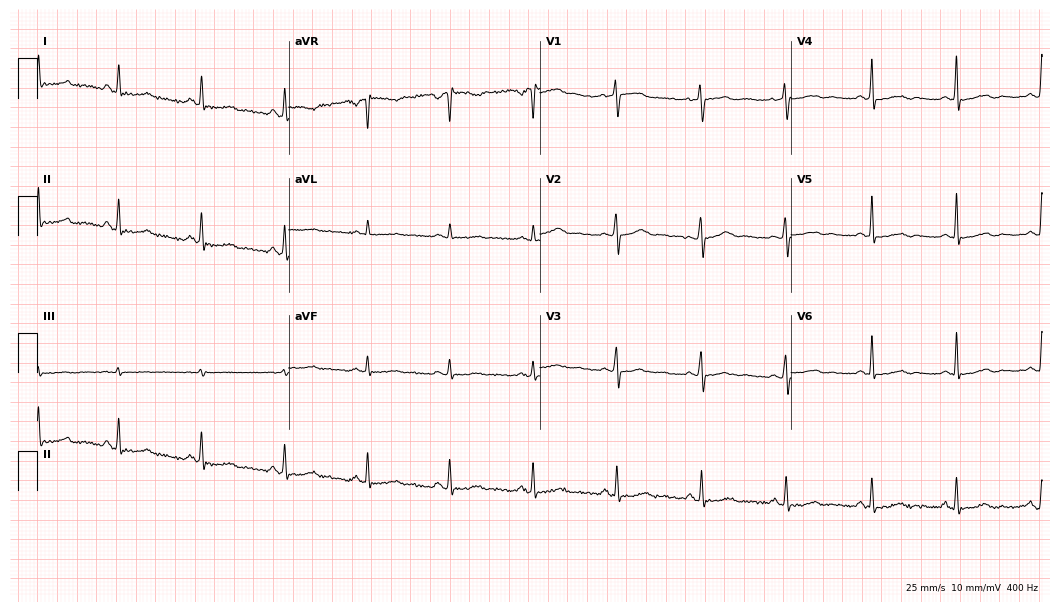
ECG — a female, 56 years old. Screened for six findings — first-degree AV block, right bundle branch block, left bundle branch block, sinus bradycardia, atrial fibrillation, sinus tachycardia — none is recorded.